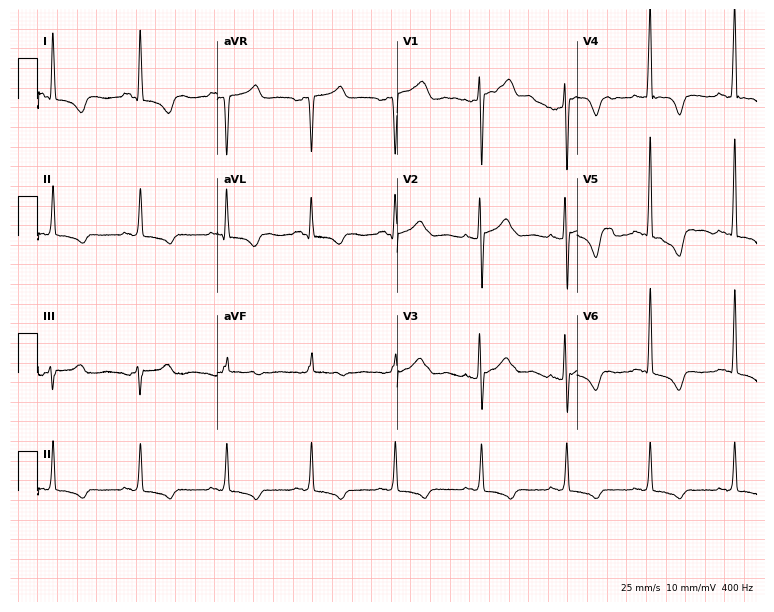
Resting 12-lead electrocardiogram. Patient: a 58-year-old woman. None of these six findings is recorded: first-degree AV block, right bundle branch block, left bundle branch block, sinus bradycardia, atrial fibrillation, sinus tachycardia. Only these six findings were labelled.